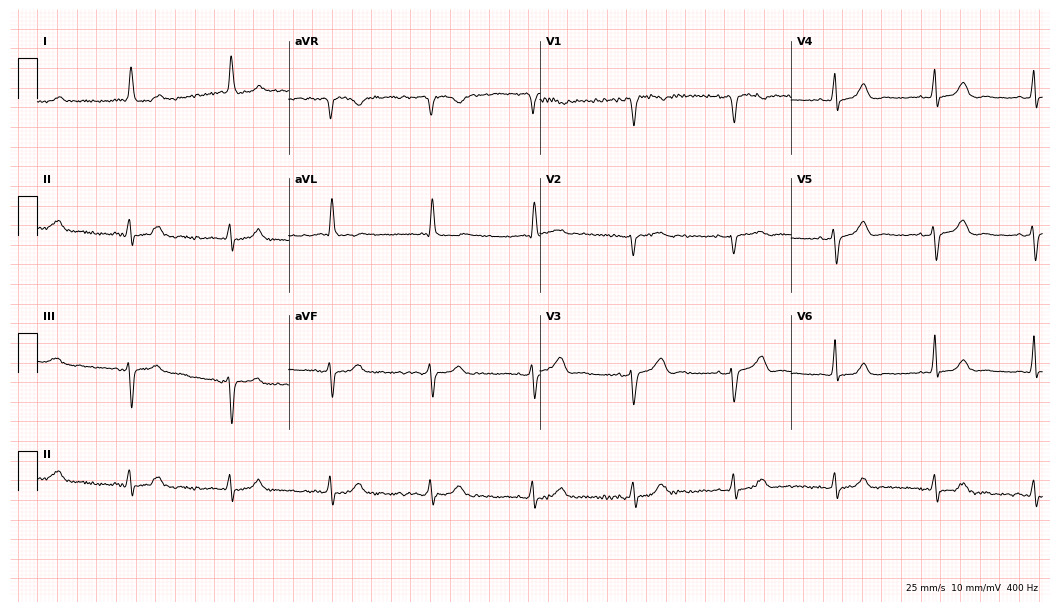
Resting 12-lead electrocardiogram (10.2-second recording at 400 Hz). Patient: an 87-year-old female. None of these six findings is recorded: first-degree AV block, right bundle branch block, left bundle branch block, sinus bradycardia, atrial fibrillation, sinus tachycardia.